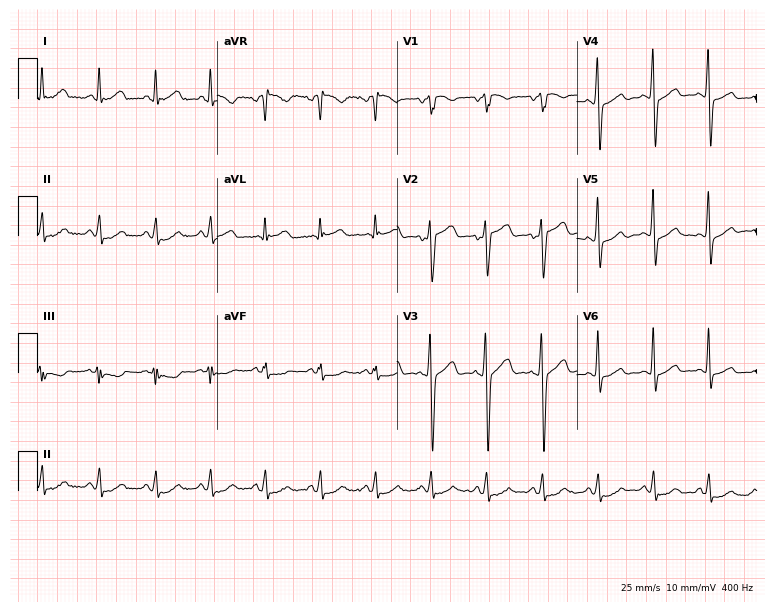
Electrocardiogram (7.3-second recording at 400 Hz), a male patient, 32 years old. Interpretation includes sinus tachycardia (a sinus rate of 100 beats per minute or more).